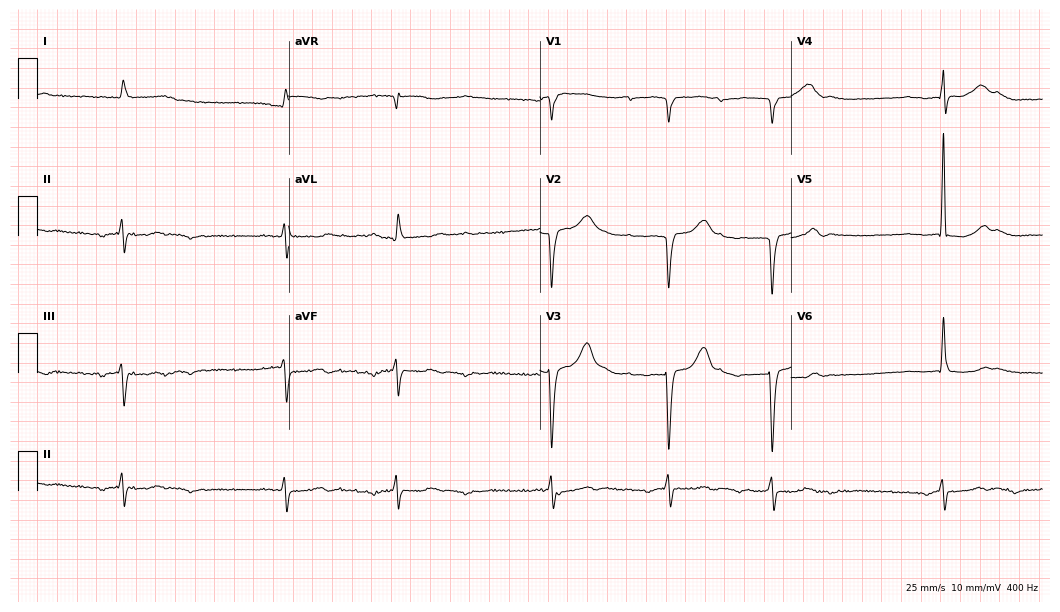
12-lead ECG from a 71-year-old male patient. Shows first-degree AV block.